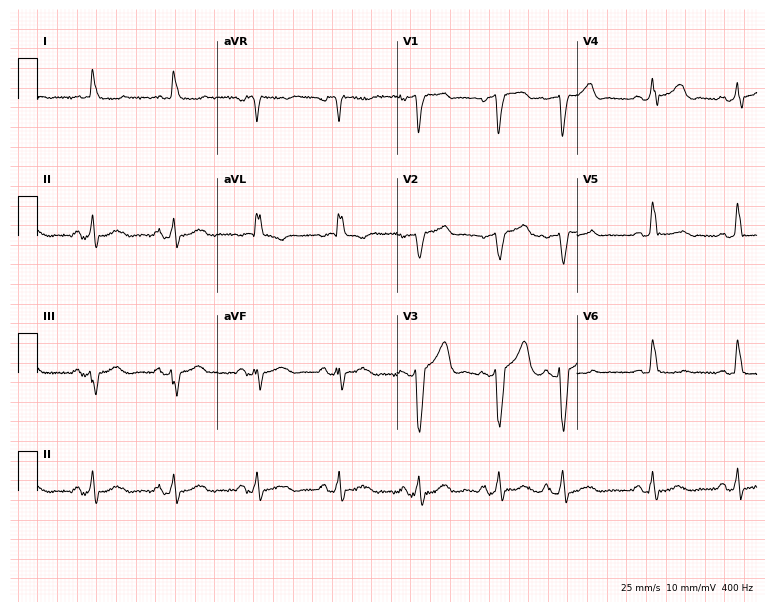
Resting 12-lead electrocardiogram. Patient: a female, 75 years old. None of these six findings is recorded: first-degree AV block, right bundle branch block, left bundle branch block, sinus bradycardia, atrial fibrillation, sinus tachycardia. Findings outside these six are not listed.